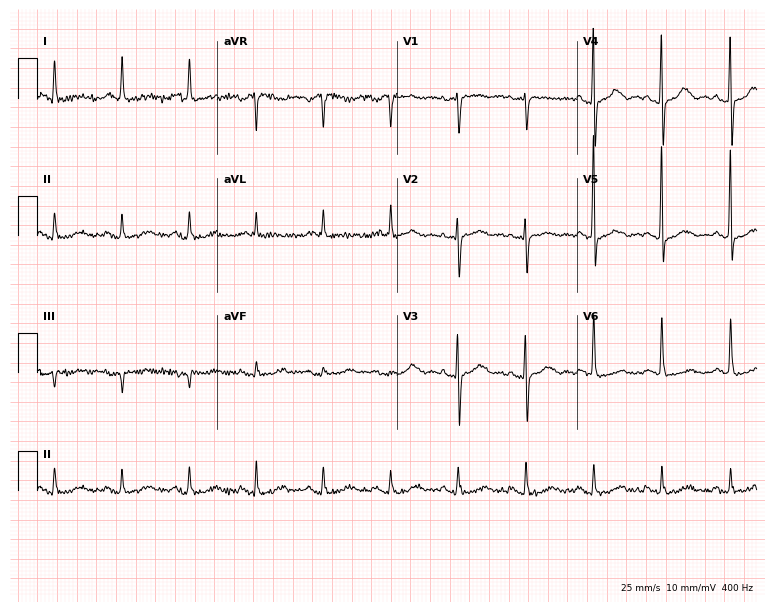
12-lead ECG from a 79-year-old woman. Screened for six findings — first-degree AV block, right bundle branch block, left bundle branch block, sinus bradycardia, atrial fibrillation, sinus tachycardia — none is recorded.